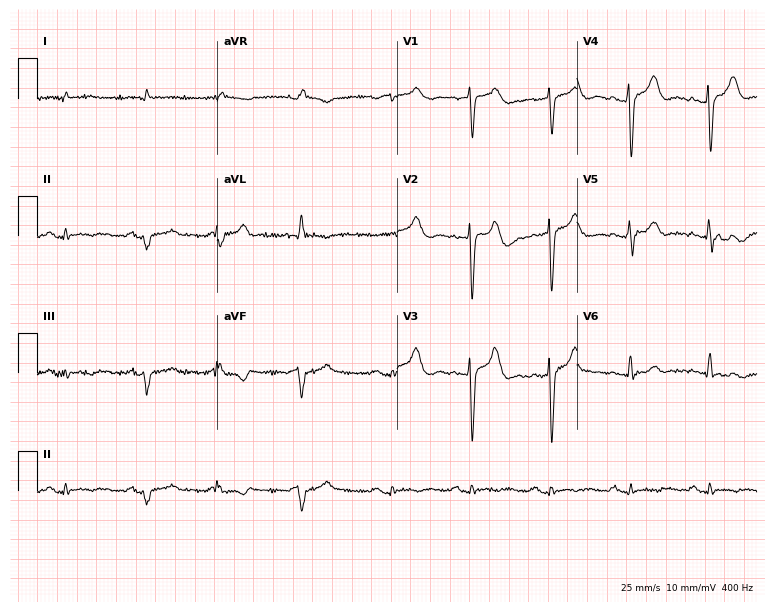
12-lead ECG (7.3-second recording at 400 Hz) from a male, 63 years old. Screened for six findings — first-degree AV block, right bundle branch block, left bundle branch block, sinus bradycardia, atrial fibrillation, sinus tachycardia — none is recorded.